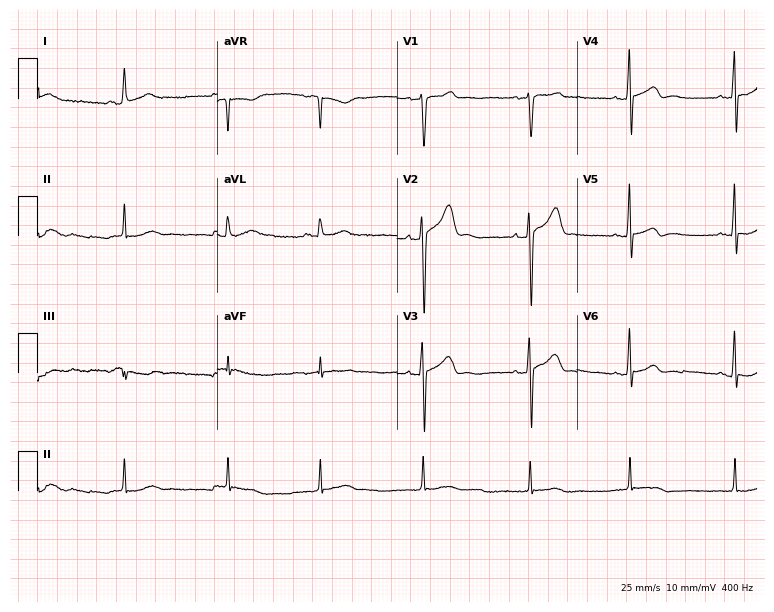
12-lead ECG from a male patient, 31 years old (7.3-second recording at 400 Hz). No first-degree AV block, right bundle branch block (RBBB), left bundle branch block (LBBB), sinus bradycardia, atrial fibrillation (AF) or sinus tachycardia recorded for this tracing. Findings outside these six are not listed.